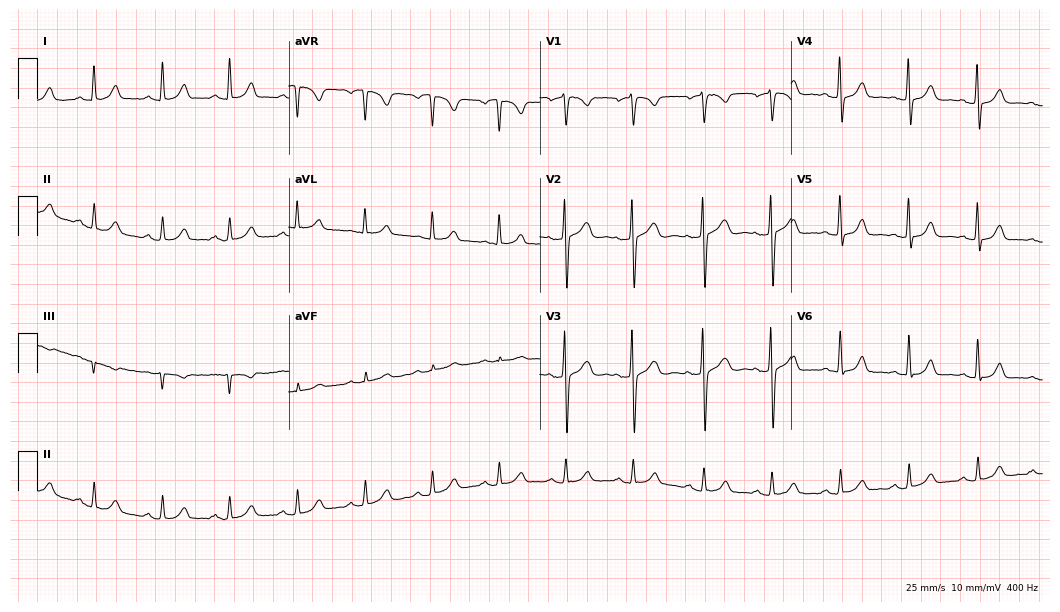
Standard 12-lead ECG recorded from a male patient, 39 years old. Read as a normal ECG.